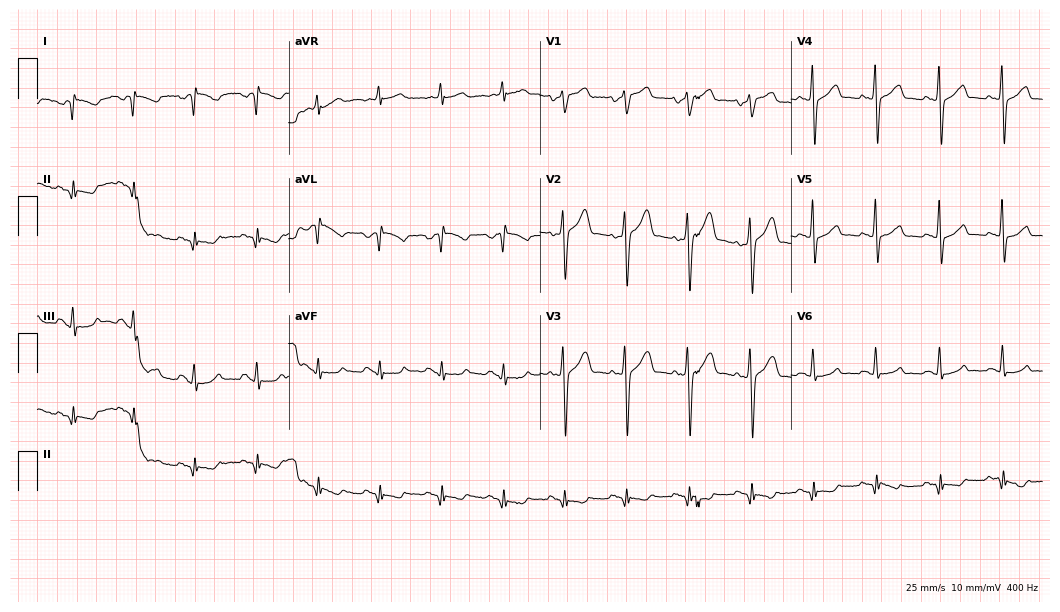
Resting 12-lead electrocardiogram (10.2-second recording at 400 Hz). Patient: a female, 42 years old. None of these six findings is recorded: first-degree AV block, right bundle branch block, left bundle branch block, sinus bradycardia, atrial fibrillation, sinus tachycardia. Other findings, if any, are not listed.